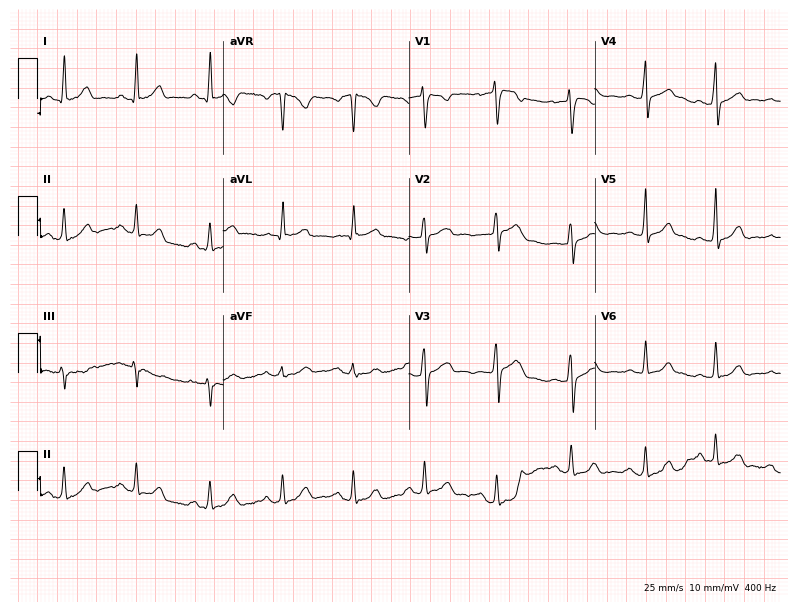
12-lead ECG from a female patient, 23 years old (7.6-second recording at 400 Hz). Recorded interpretation: within normal limits.